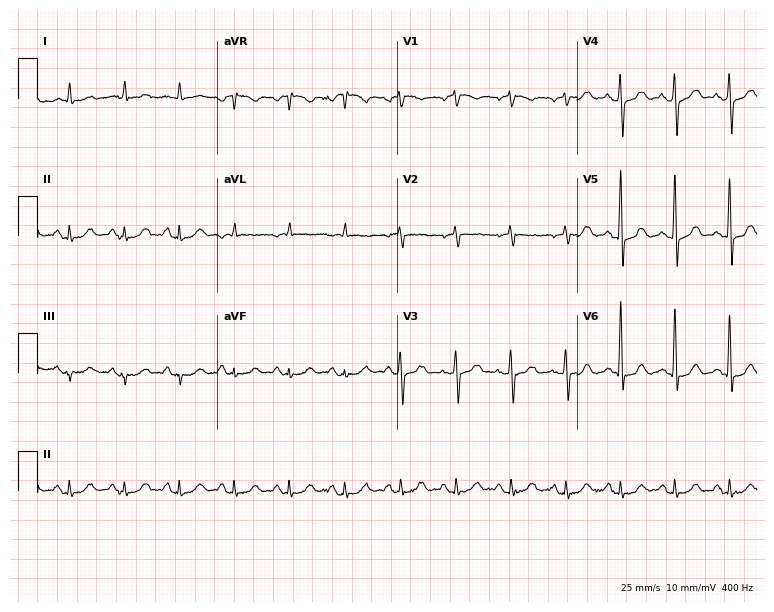
ECG (7.3-second recording at 400 Hz) — a male, 80 years old. Findings include sinus tachycardia (a sinus rate of 100 beats per minute or more).